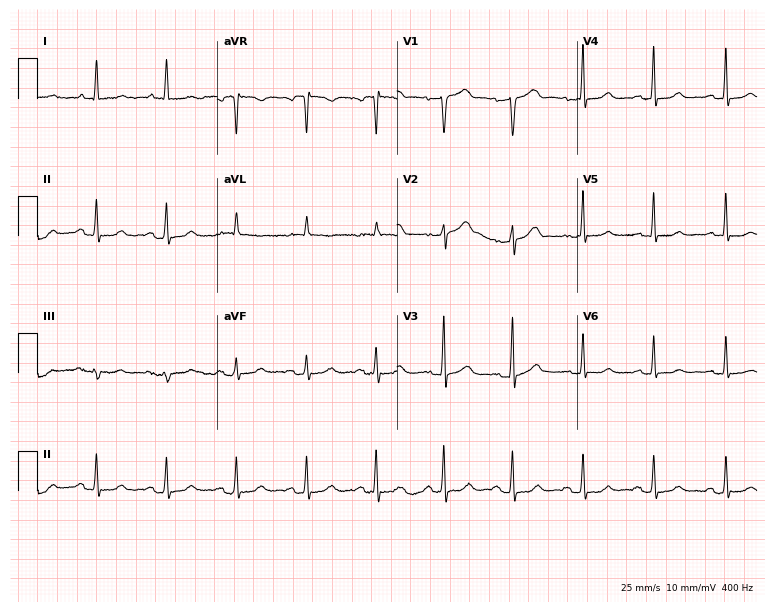
Electrocardiogram (7.3-second recording at 400 Hz), an 80-year-old woman. Overall reading on record: normal ECG.